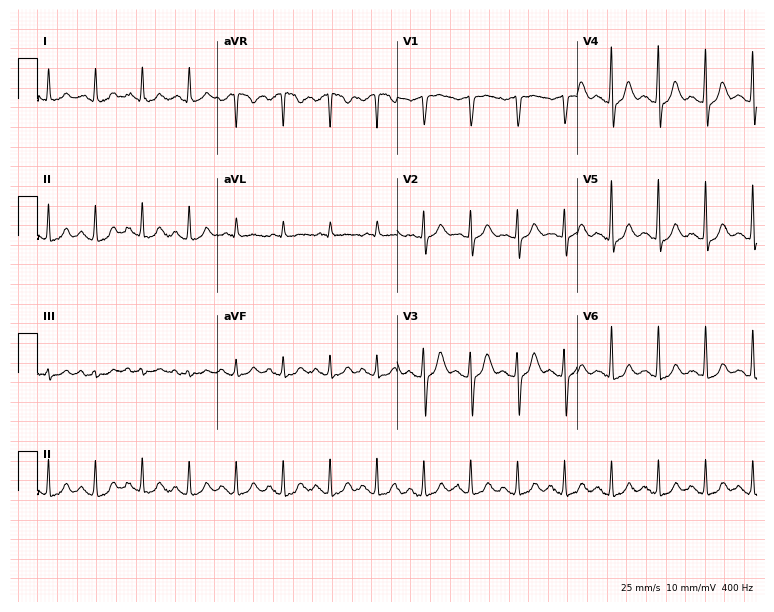
Standard 12-lead ECG recorded from a 67-year-old man. The tracing shows sinus tachycardia (a sinus rate of 100 beats per minute or more).